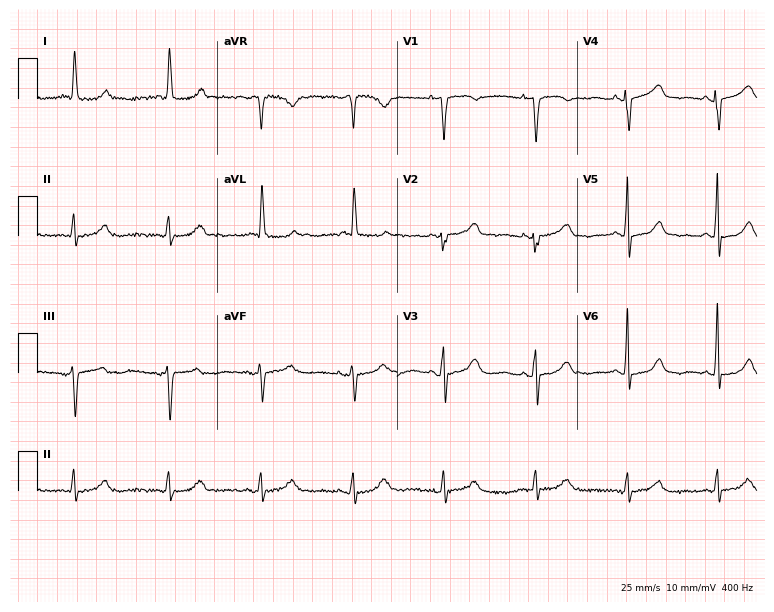
Standard 12-lead ECG recorded from an 85-year-old female patient (7.3-second recording at 400 Hz). Read as a normal ECG.